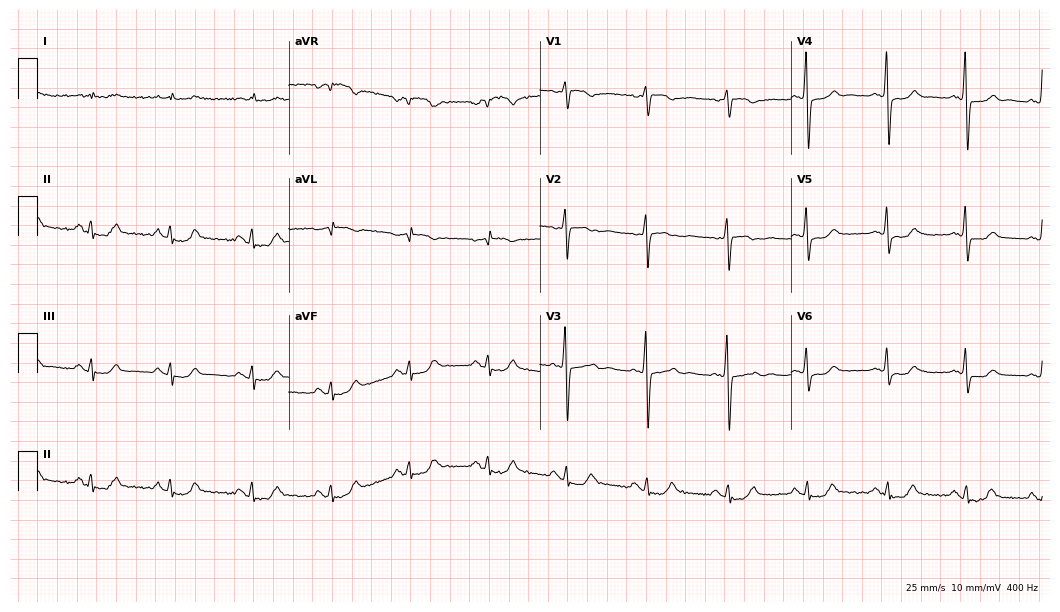
ECG — a man, 75 years old. Screened for six findings — first-degree AV block, right bundle branch block (RBBB), left bundle branch block (LBBB), sinus bradycardia, atrial fibrillation (AF), sinus tachycardia — none is recorded. Only these six findings were labelled.